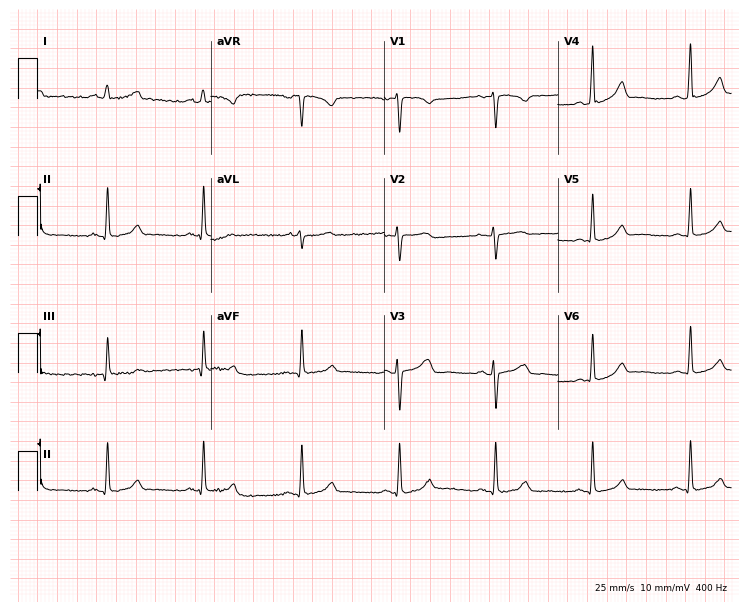
ECG (7.1-second recording at 400 Hz) — a 28-year-old female patient. Labelled as a normal ECG.